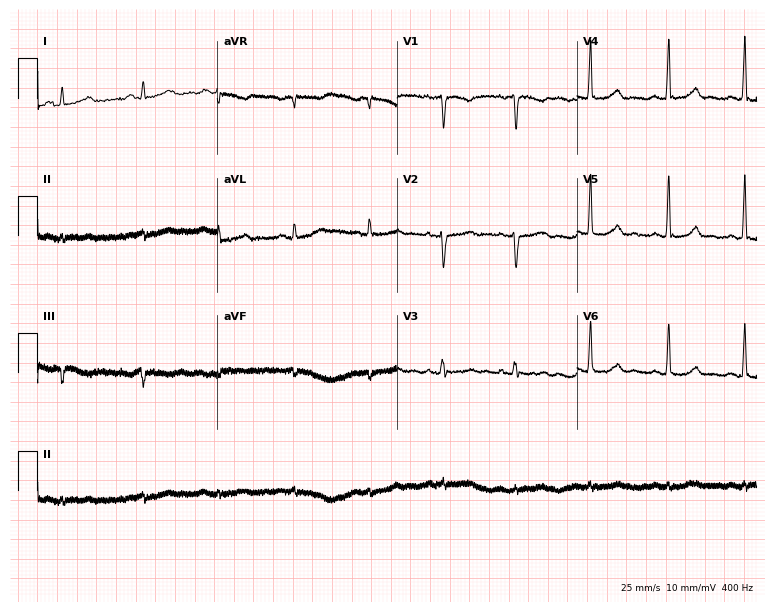
ECG — a woman, 26 years old. Labelled as a normal ECG.